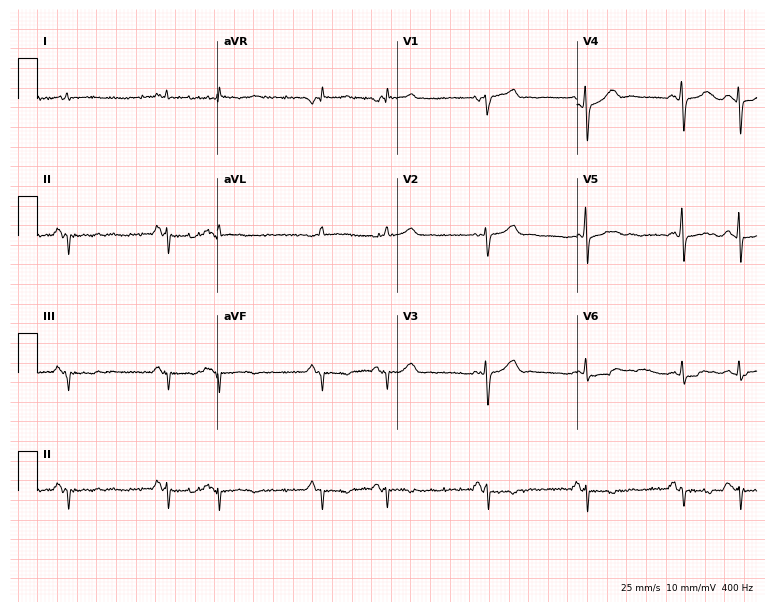
Standard 12-lead ECG recorded from a man, 72 years old (7.3-second recording at 400 Hz). None of these six findings is recorded: first-degree AV block, right bundle branch block, left bundle branch block, sinus bradycardia, atrial fibrillation, sinus tachycardia. Only these six findings were labelled.